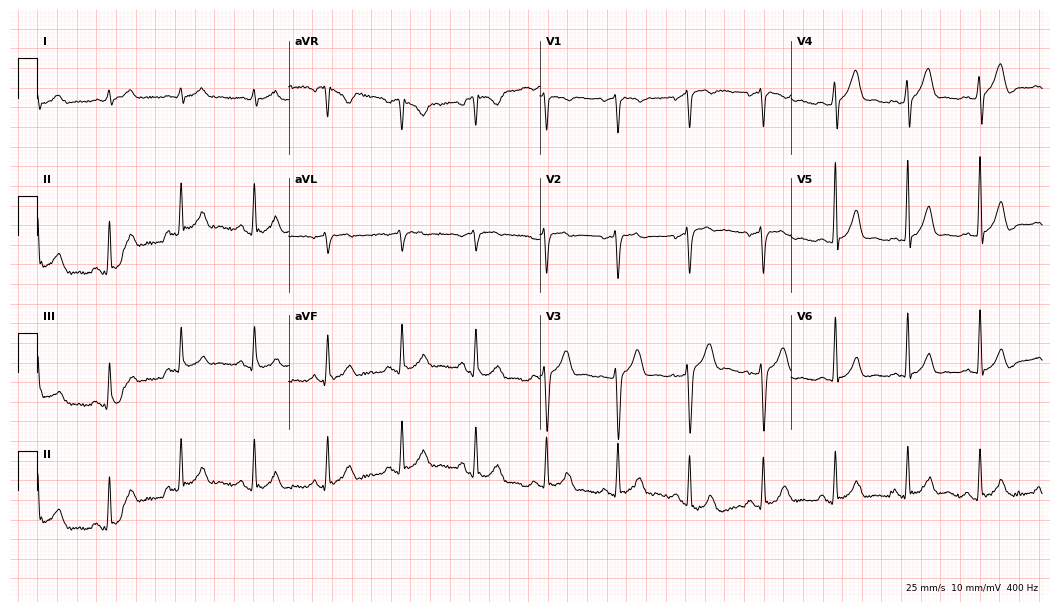
Electrocardiogram, a 24-year-old male patient. Overall reading on record: normal ECG.